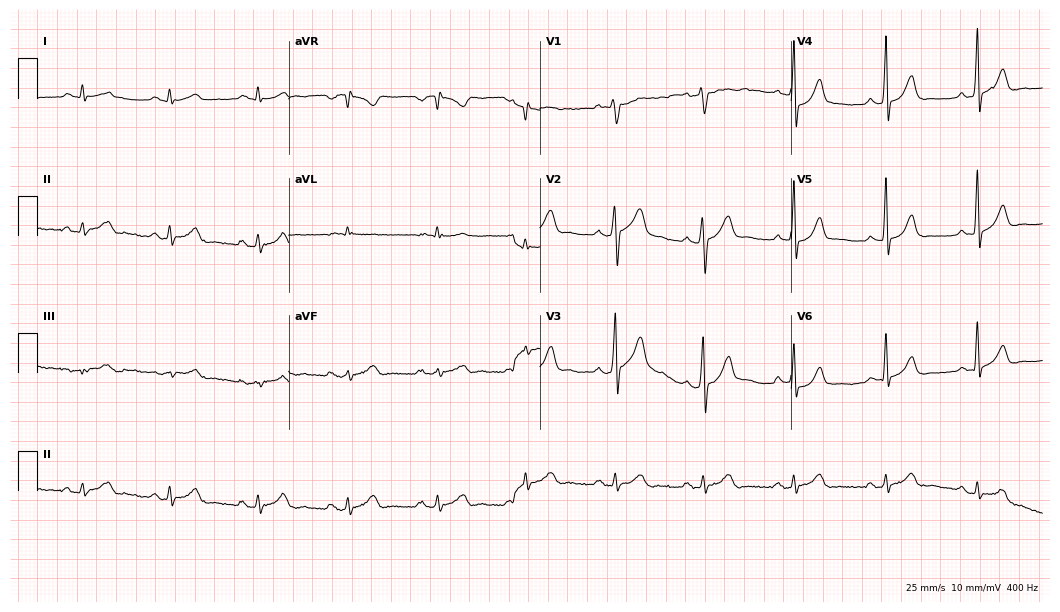
Standard 12-lead ECG recorded from a 34-year-old man (10.2-second recording at 400 Hz). Read as a normal ECG.